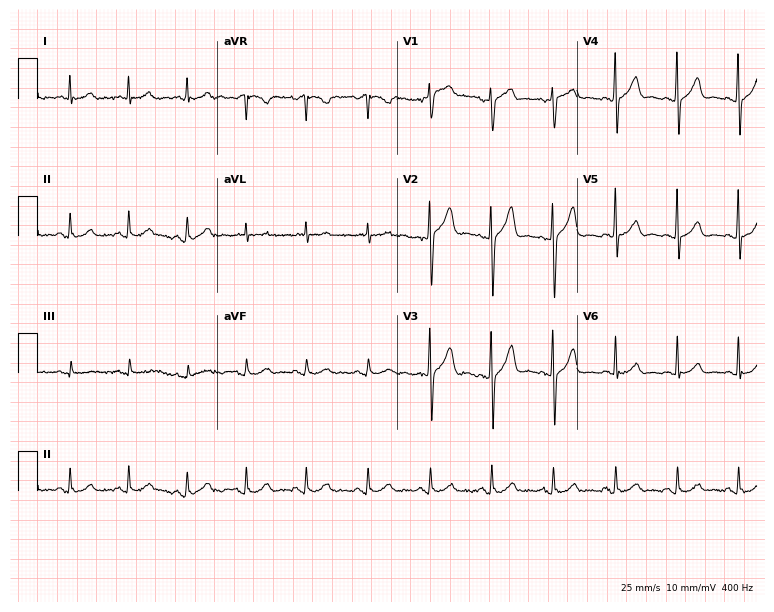
12-lead ECG from a man, 62 years old. Screened for six findings — first-degree AV block, right bundle branch block, left bundle branch block, sinus bradycardia, atrial fibrillation, sinus tachycardia — none is recorded. Other findings, if any, are not listed.